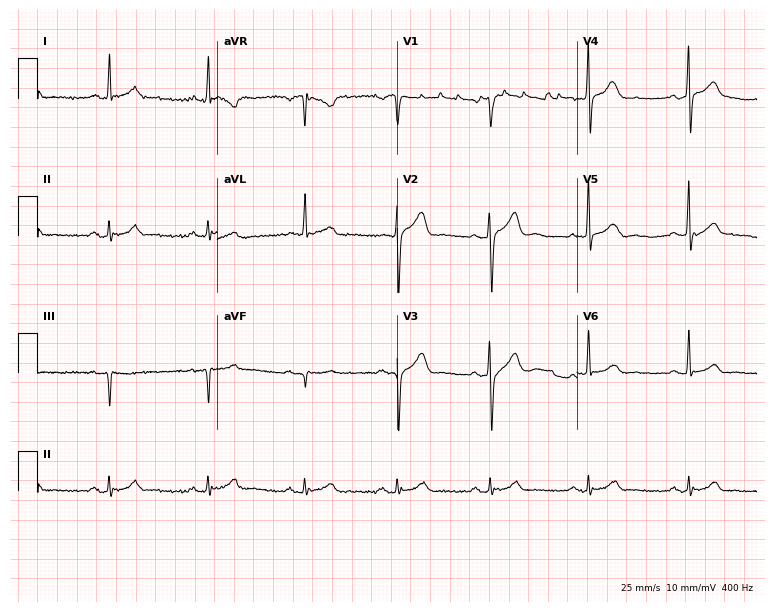
12-lead ECG from a 55-year-old male patient. Recorded interpretation: within normal limits.